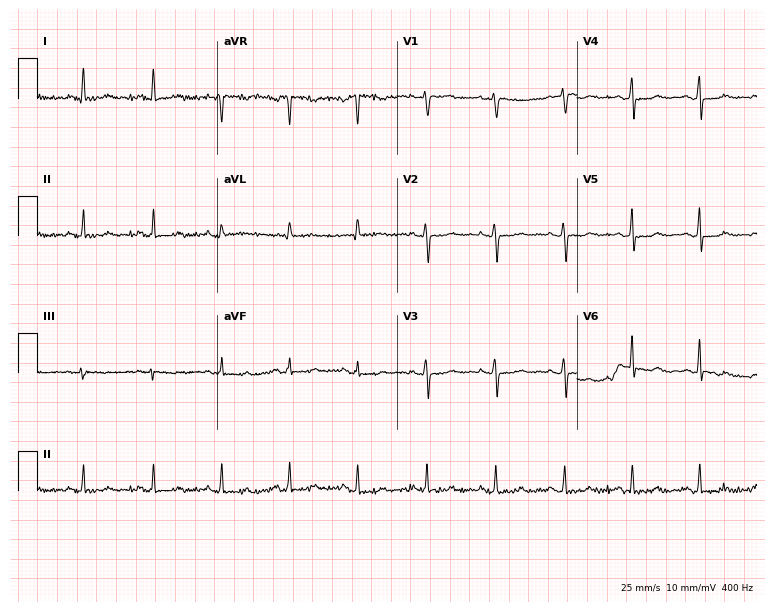
Standard 12-lead ECG recorded from a 47-year-old woman (7.3-second recording at 400 Hz). Read as a normal ECG.